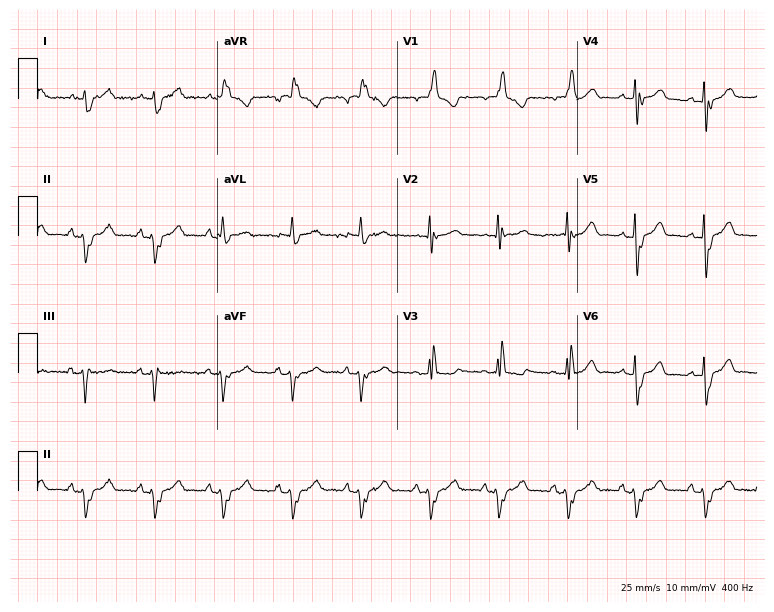
12-lead ECG from a male, 63 years old. Findings include right bundle branch block.